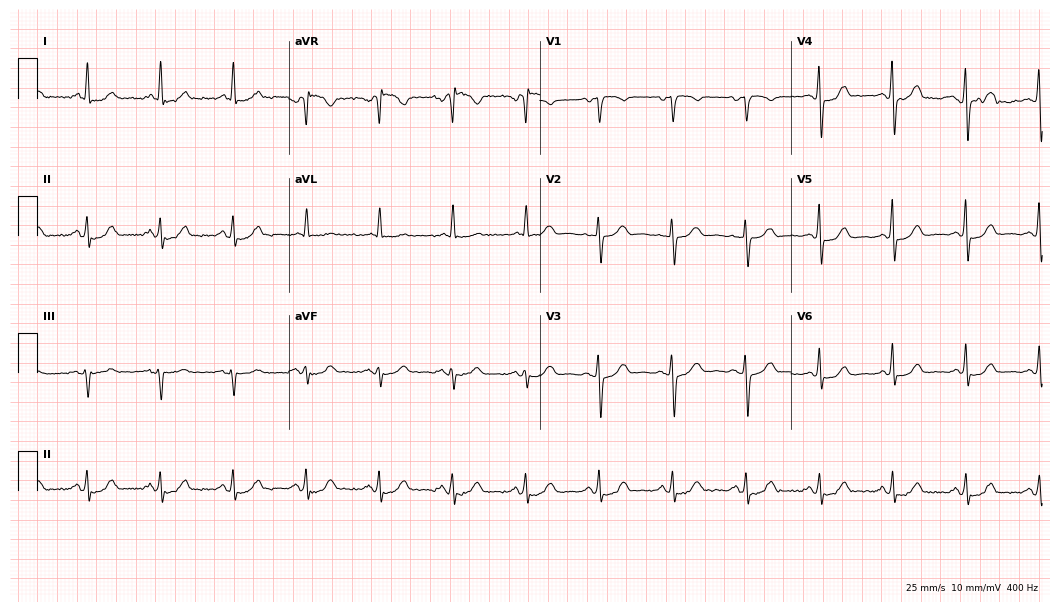
Standard 12-lead ECG recorded from a female, 57 years old (10.2-second recording at 400 Hz). None of these six findings is recorded: first-degree AV block, right bundle branch block, left bundle branch block, sinus bradycardia, atrial fibrillation, sinus tachycardia. Findings outside these six are not listed.